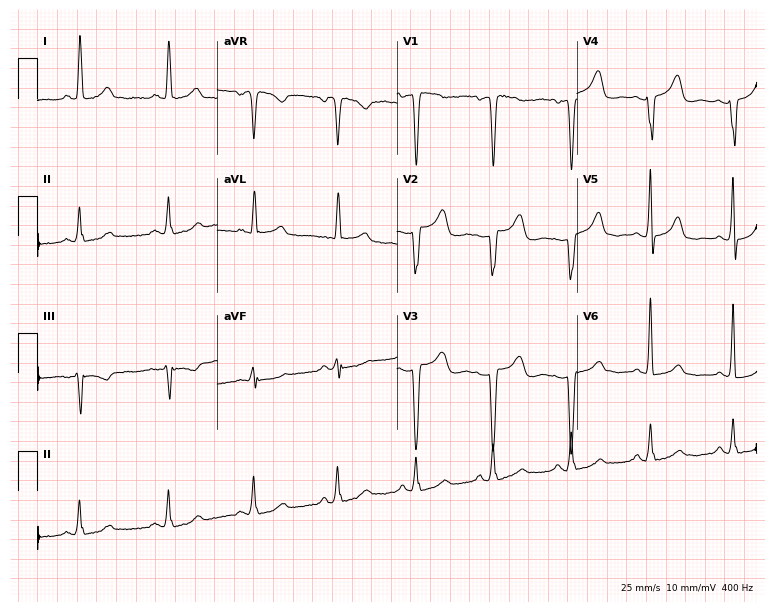
12-lead ECG from a 66-year-old female. Screened for six findings — first-degree AV block, right bundle branch block, left bundle branch block, sinus bradycardia, atrial fibrillation, sinus tachycardia — none is recorded.